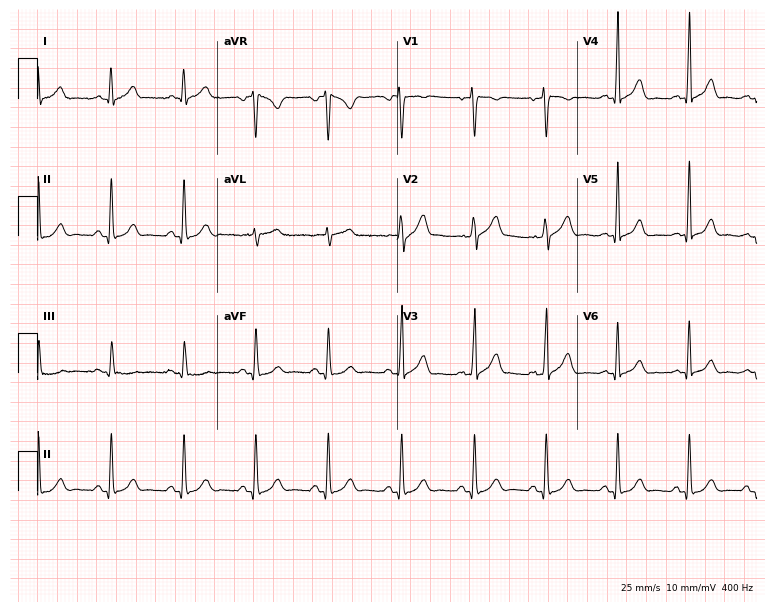
Standard 12-lead ECG recorded from a 54-year-old male patient (7.3-second recording at 400 Hz). Read as a normal ECG.